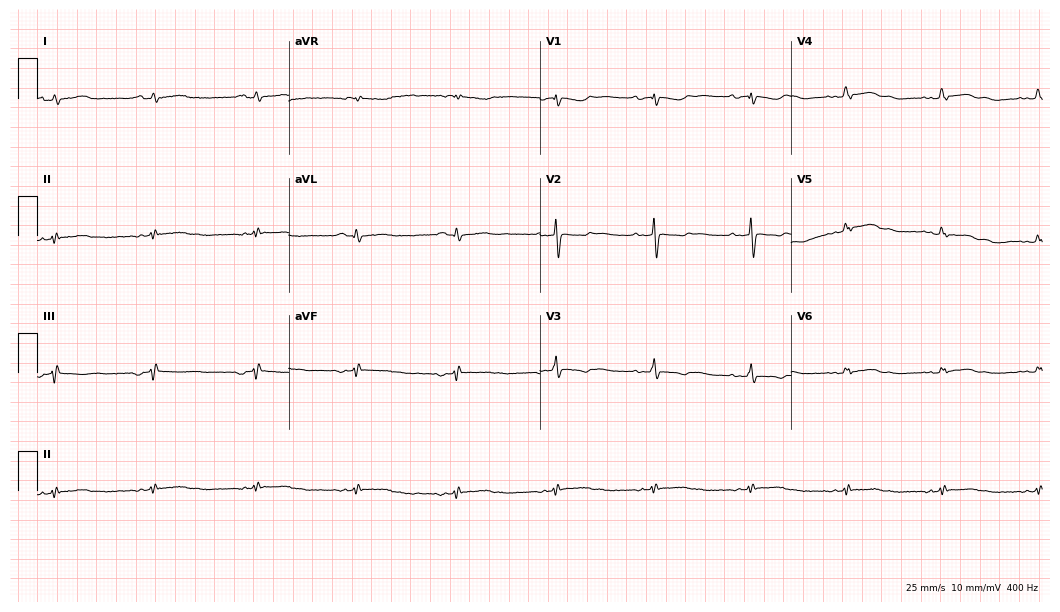
Standard 12-lead ECG recorded from a female patient, 46 years old (10.2-second recording at 400 Hz). None of these six findings is recorded: first-degree AV block, right bundle branch block (RBBB), left bundle branch block (LBBB), sinus bradycardia, atrial fibrillation (AF), sinus tachycardia.